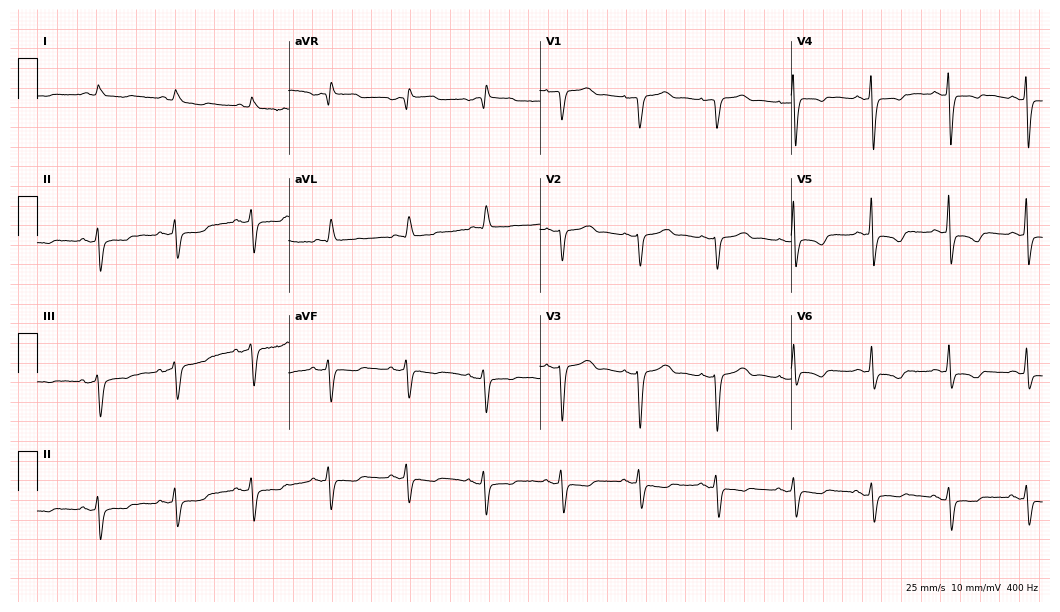
ECG — a 78-year-old woman. Screened for six findings — first-degree AV block, right bundle branch block (RBBB), left bundle branch block (LBBB), sinus bradycardia, atrial fibrillation (AF), sinus tachycardia — none is recorded. Other findings, if any, are not listed.